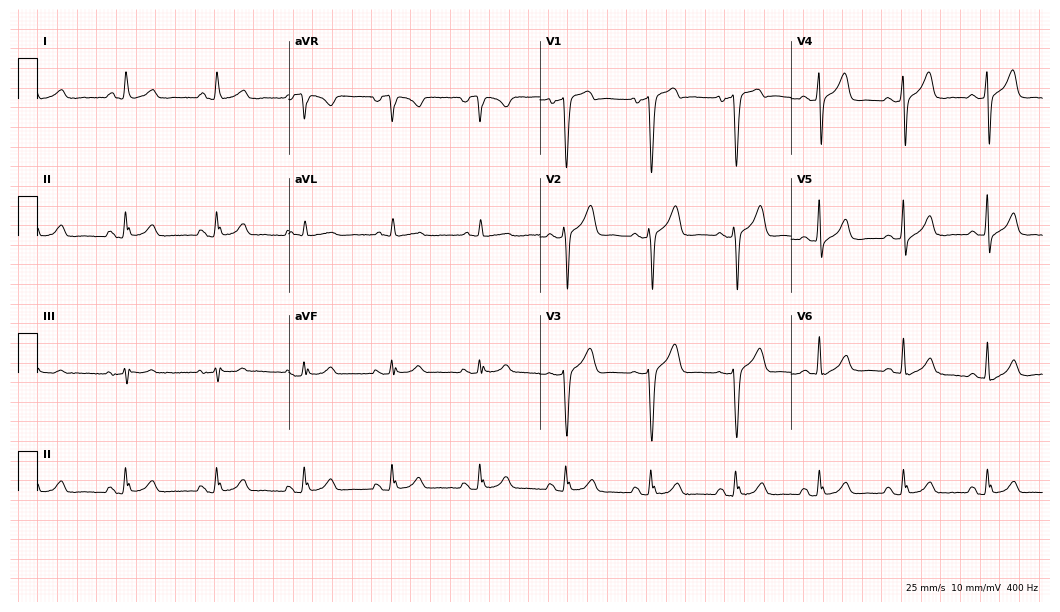
12-lead ECG from a 46-year-old man (10.2-second recording at 400 Hz). Recorded interpretation: within normal limits.